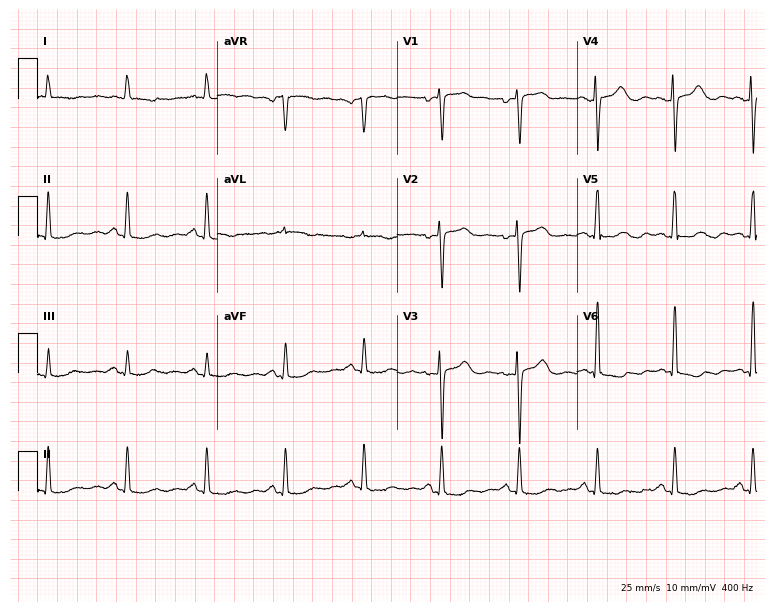
12-lead ECG from a 74-year-old female patient (7.3-second recording at 400 Hz). No first-degree AV block, right bundle branch block, left bundle branch block, sinus bradycardia, atrial fibrillation or sinus tachycardia recorded for this tracing.